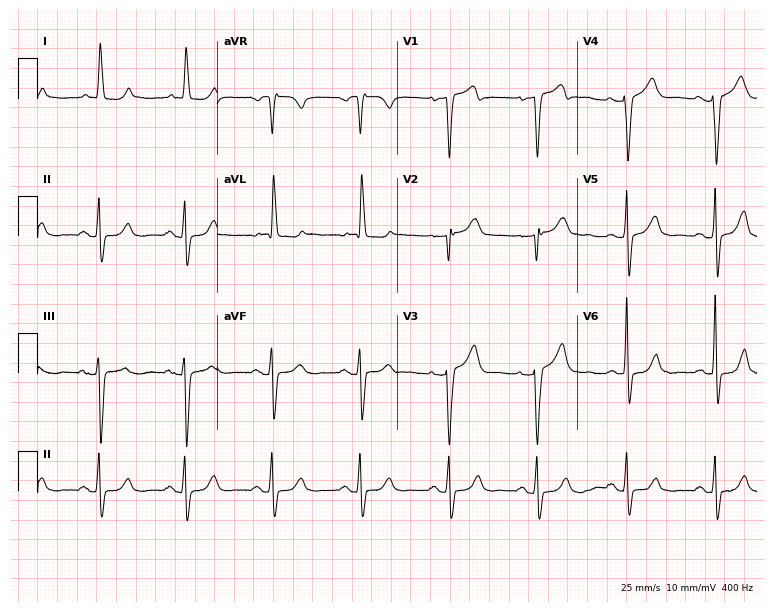
12-lead ECG from a 75-year-old female (7.3-second recording at 400 Hz). No first-degree AV block, right bundle branch block, left bundle branch block, sinus bradycardia, atrial fibrillation or sinus tachycardia recorded for this tracing.